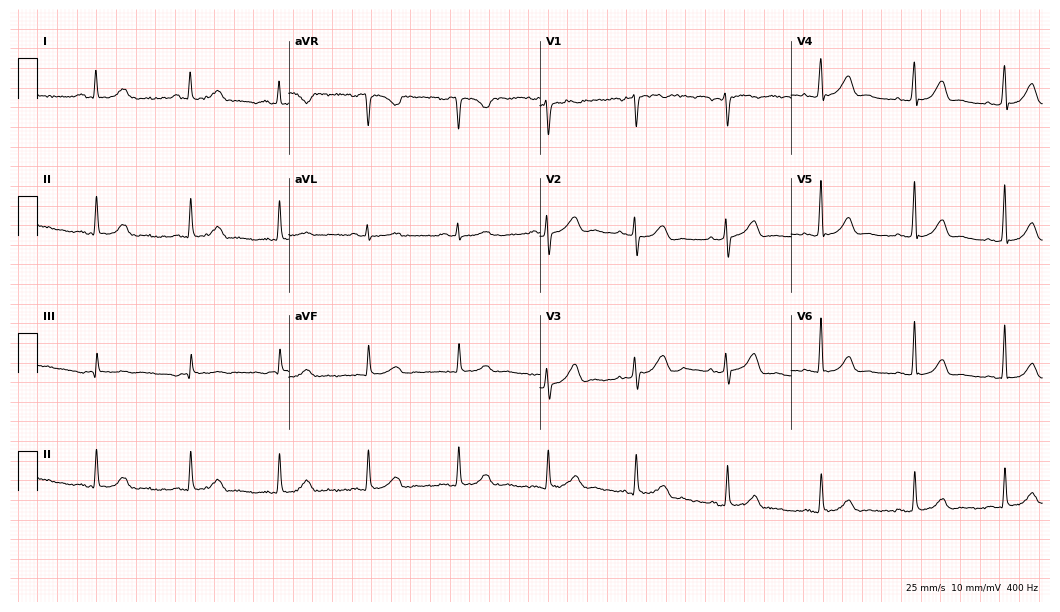
12-lead ECG from a female patient, 43 years old (10.2-second recording at 400 Hz). Recorded interpretation: within normal limits.